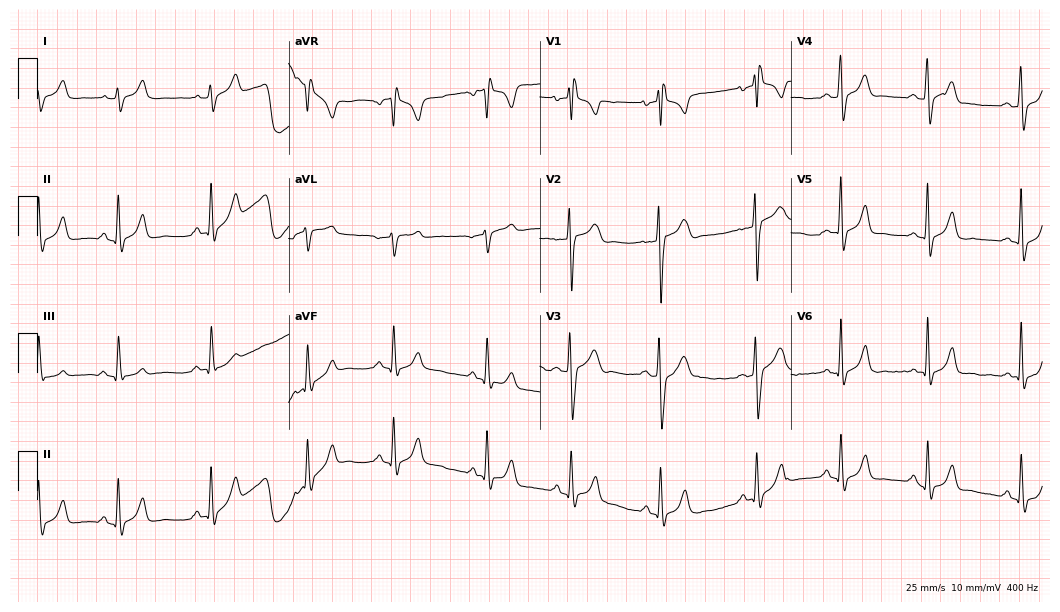
12-lead ECG (10.2-second recording at 400 Hz) from a male patient, 28 years old. Screened for six findings — first-degree AV block, right bundle branch block, left bundle branch block, sinus bradycardia, atrial fibrillation, sinus tachycardia — none is recorded. Only these six findings were labelled.